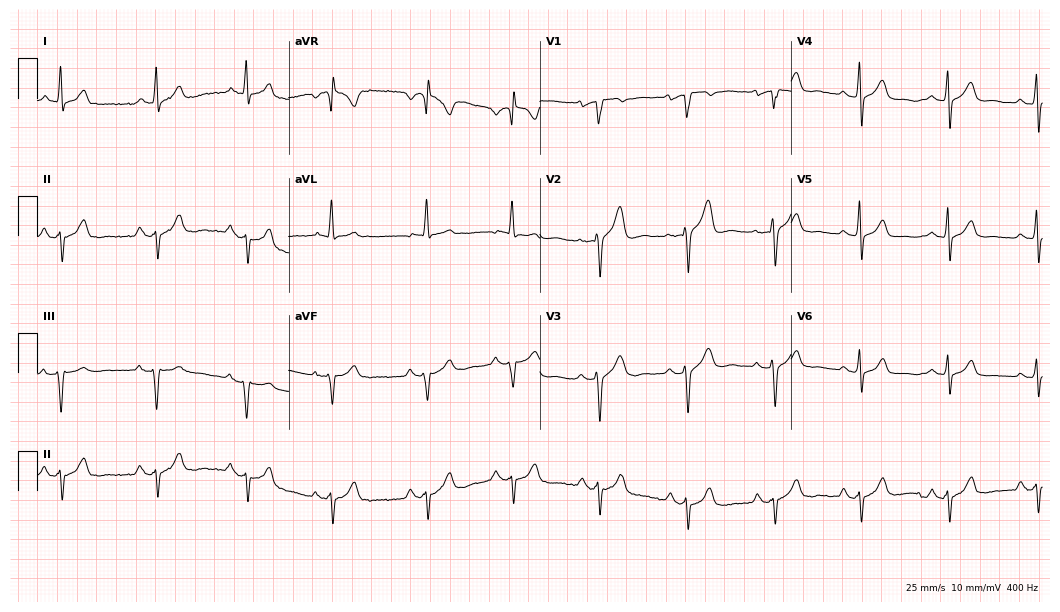
Standard 12-lead ECG recorded from a male patient, 47 years old (10.2-second recording at 400 Hz). None of these six findings is recorded: first-degree AV block, right bundle branch block (RBBB), left bundle branch block (LBBB), sinus bradycardia, atrial fibrillation (AF), sinus tachycardia.